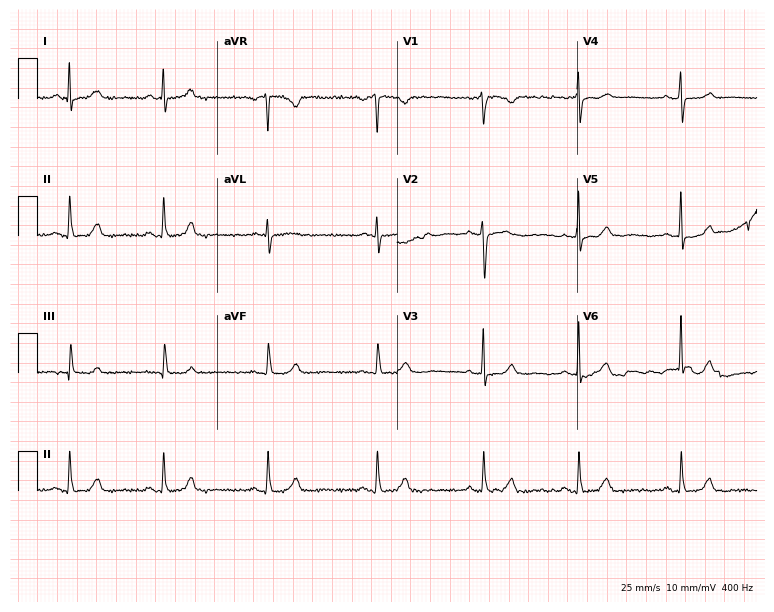
Resting 12-lead electrocardiogram. Patient: a 51-year-old female. Read as a normal ECG.